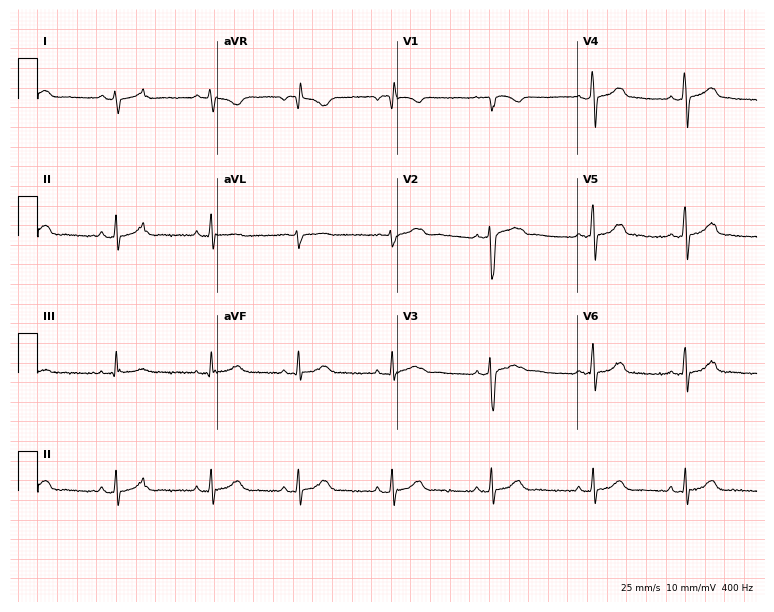
12-lead ECG from a 20-year-old female patient. No first-degree AV block, right bundle branch block, left bundle branch block, sinus bradycardia, atrial fibrillation or sinus tachycardia recorded for this tracing.